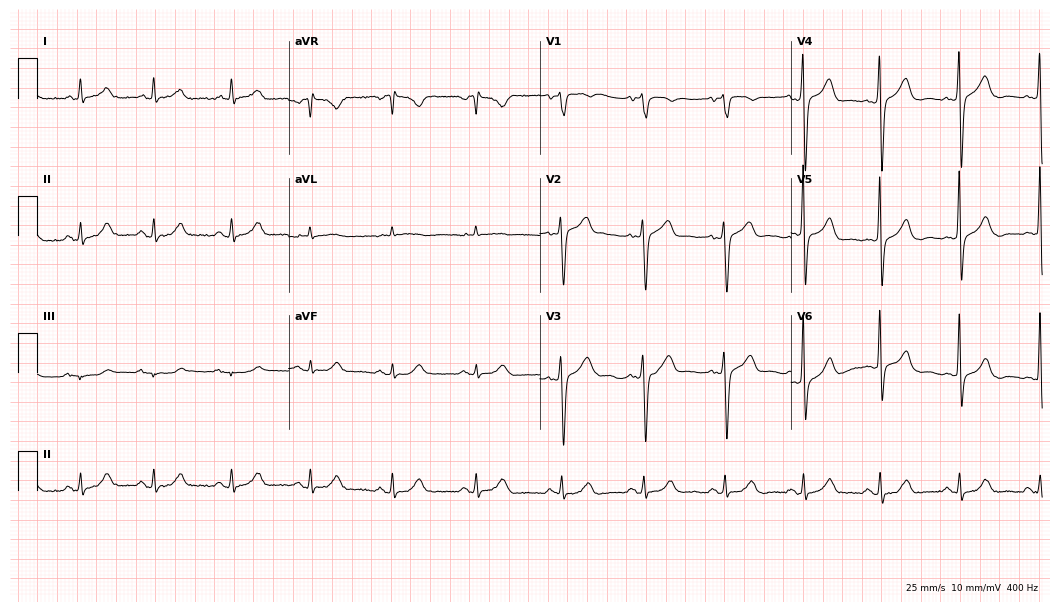
Electrocardiogram, a male patient, 64 years old. Overall reading on record: normal ECG.